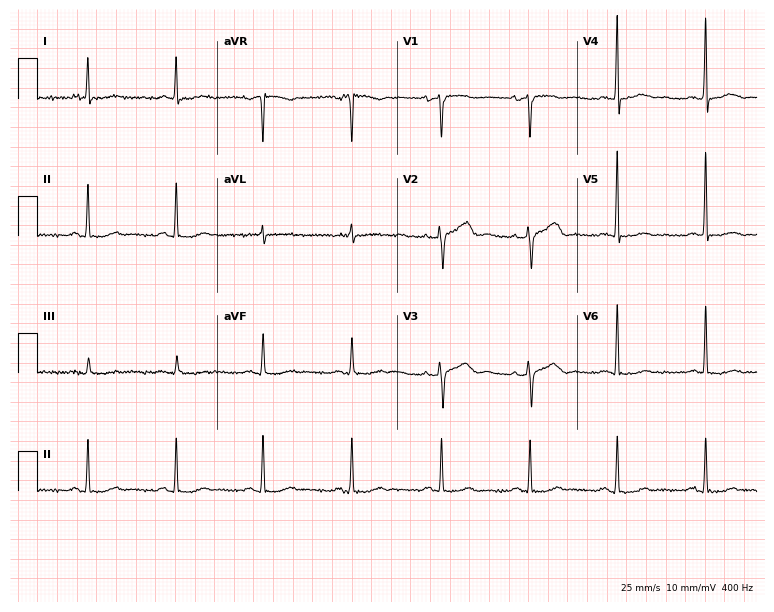
ECG (7.3-second recording at 400 Hz) — a 60-year-old female. Screened for six findings — first-degree AV block, right bundle branch block (RBBB), left bundle branch block (LBBB), sinus bradycardia, atrial fibrillation (AF), sinus tachycardia — none is recorded.